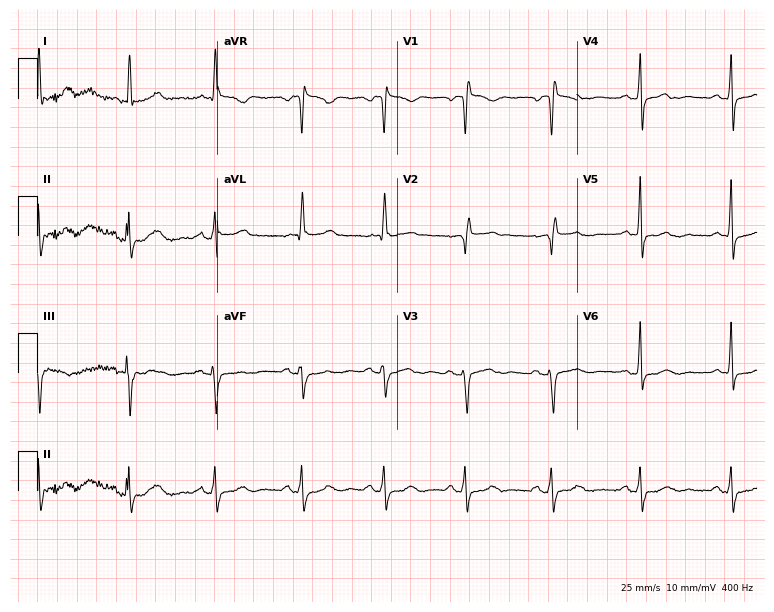
Resting 12-lead electrocardiogram. Patient: a female, 54 years old. Read as a normal ECG.